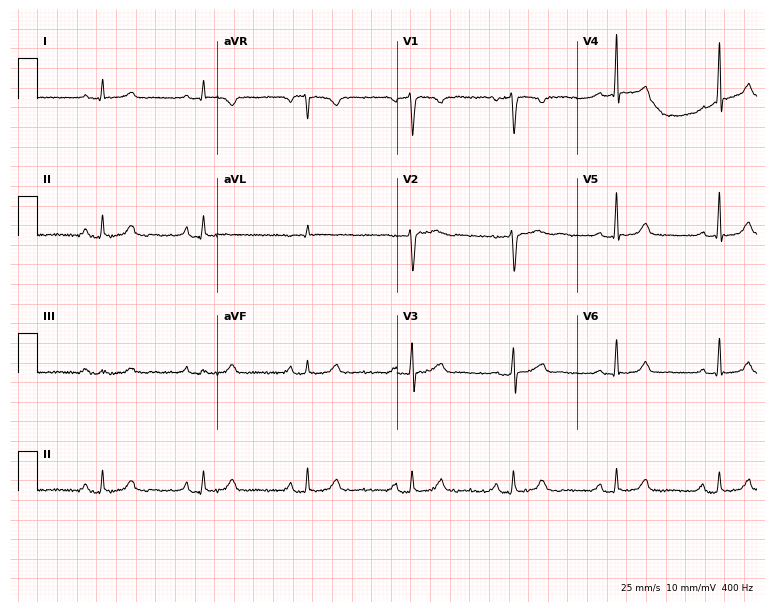
Standard 12-lead ECG recorded from a woman, 49 years old (7.3-second recording at 400 Hz). None of these six findings is recorded: first-degree AV block, right bundle branch block, left bundle branch block, sinus bradycardia, atrial fibrillation, sinus tachycardia. Only these six findings were labelled.